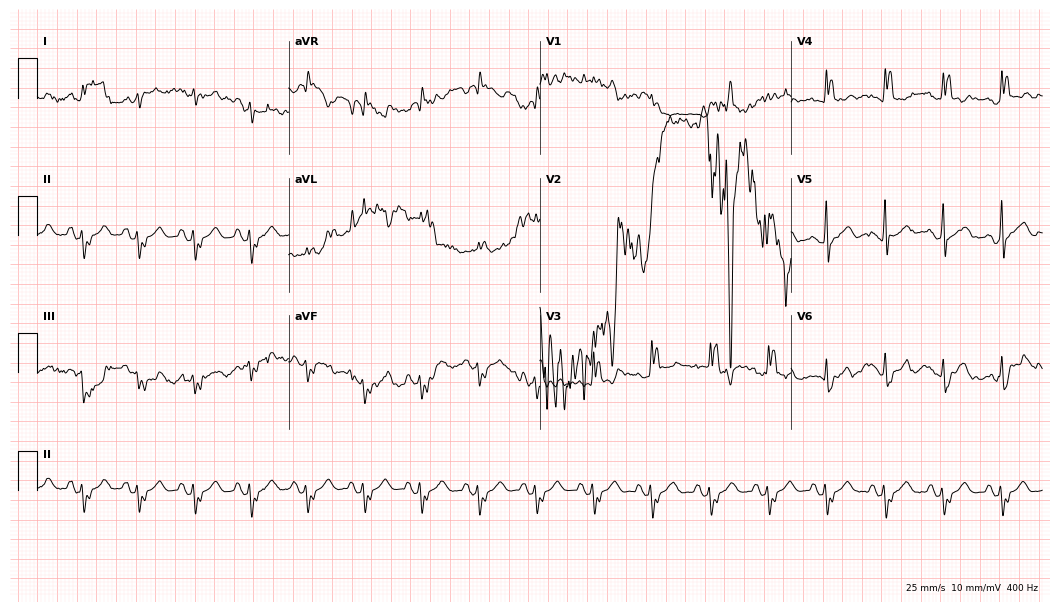
Resting 12-lead electrocardiogram. Patient: an 84-year-old male. None of these six findings is recorded: first-degree AV block, right bundle branch block, left bundle branch block, sinus bradycardia, atrial fibrillation, sinus tachycardia.